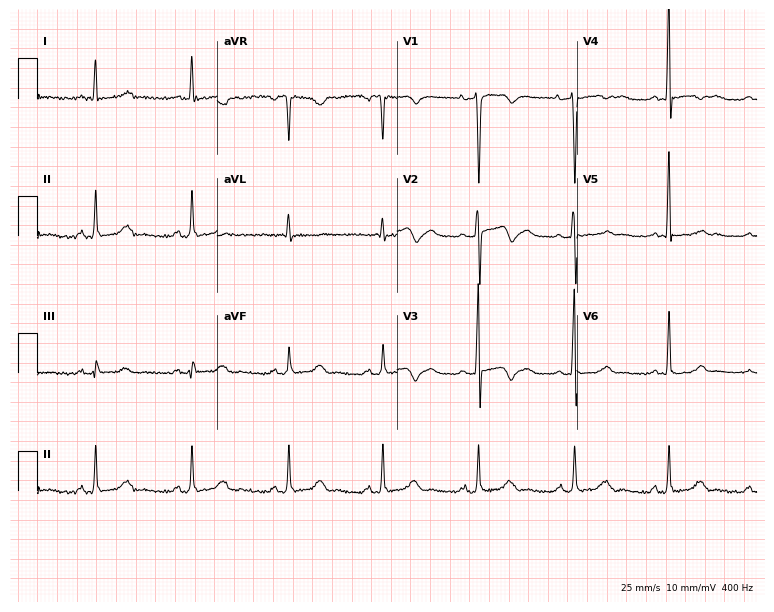
Electrocardiogram, a woman, 45 years old. Of the six screened findings (first-degree AV block, right bundle branch block, left bundle branch block, sinus bradycardia, atrial fibrillation, sinus tachycardia), none is recorded. Other findings, if any, are not listed.